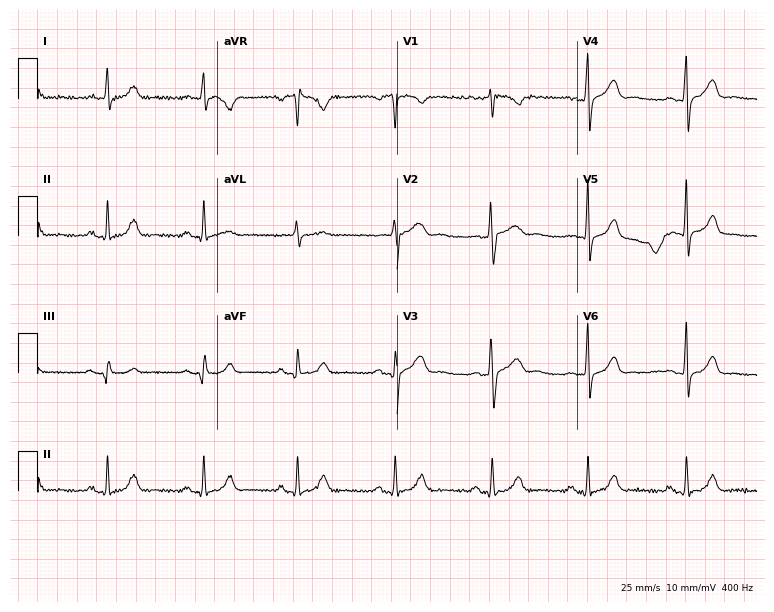
12-lead ECG from a 55-year-old male patient. No first-degree AV block, right bundle branch block, left bundle branch block, sinus bradycardia, atrial fibrillation or sinus tachycardia recorded for this tracing.